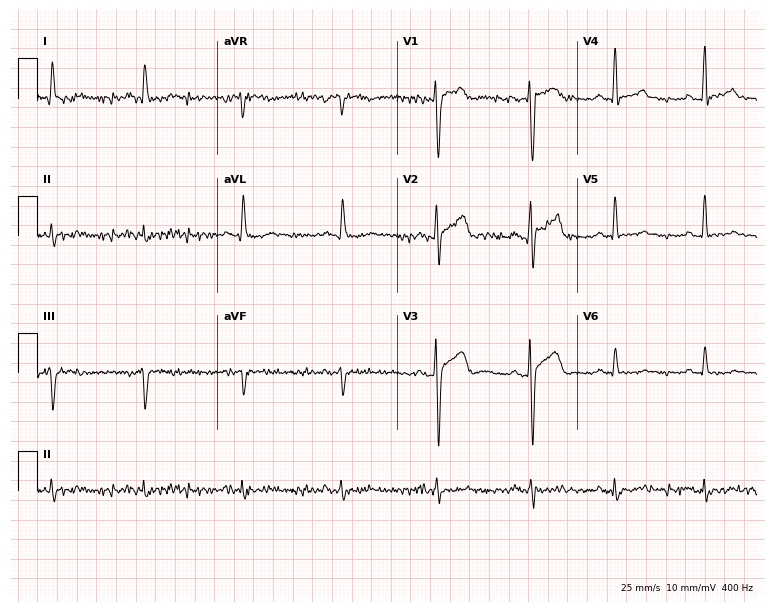
Resting 12-lead electrocardiogram (7.3-second recording at 400 Hz). Patient: a 59-year-old male. None of these six findings is recorded: first-degree AV block, right bundle branch block (RBBB), left bundle branch block (LBBB), sinus bradycardia, atrial fibrillation (AF), sinus tachycardia.